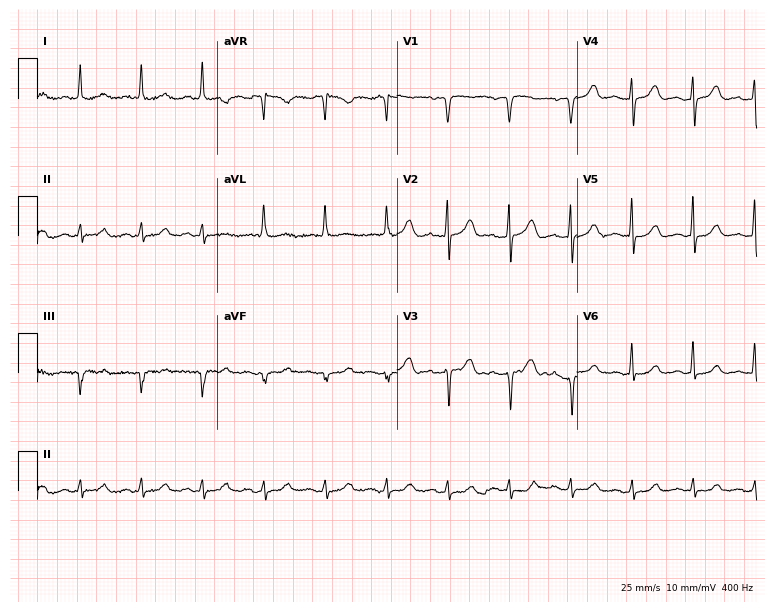
12-lead ECG from a woman, 73 years old. Recorded interpretation: within normal limits.